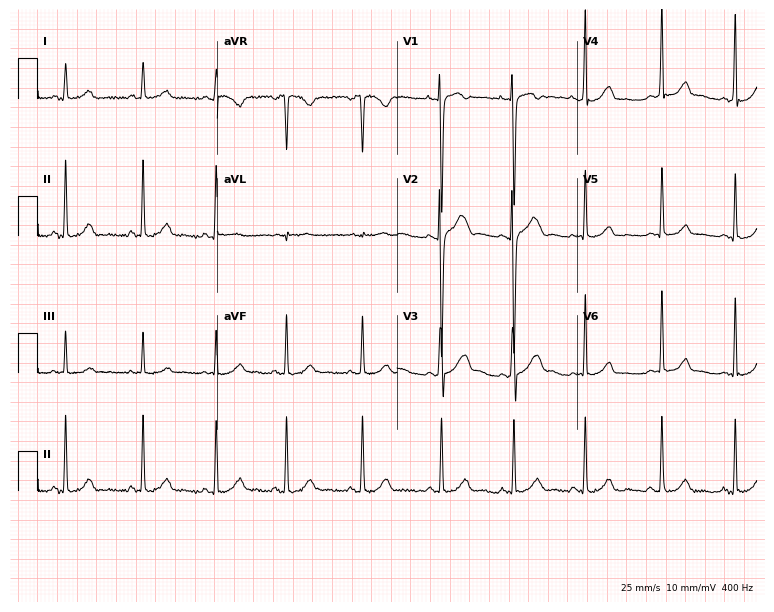
ECG — a woman, 20 years old. Labelled as a normal ECG.